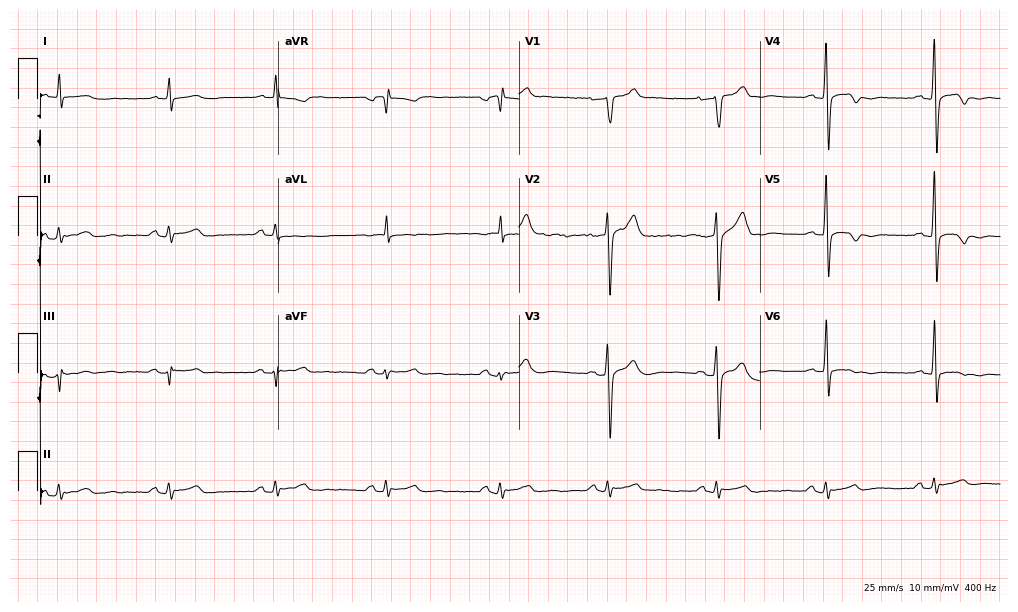
Electrocardiogram, a 45-year-old male. Of the six screened findings (first-degree AV block, right bundle branch block (RBBB), left bundle branch block (LBBB), sinus bradycardia, atrial fibrillation (AF), sinus tachycardia), none is recorded.